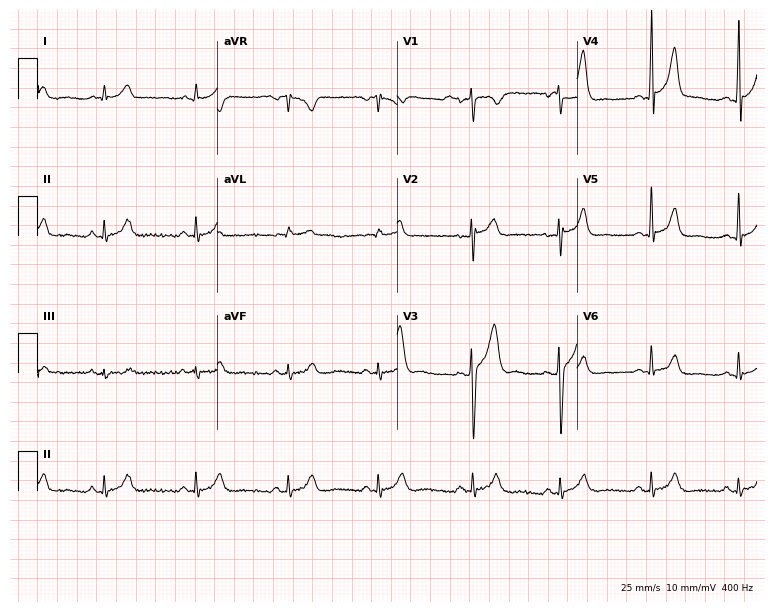
12-lead ECG from a 20-year-old man. No first-degree AV block, right bundle branch block, left bundle branch block, sinus bradycardia, atrial fibrillation or sinus tachycardia recorded for this tracing. Findings outside these six are not listed.